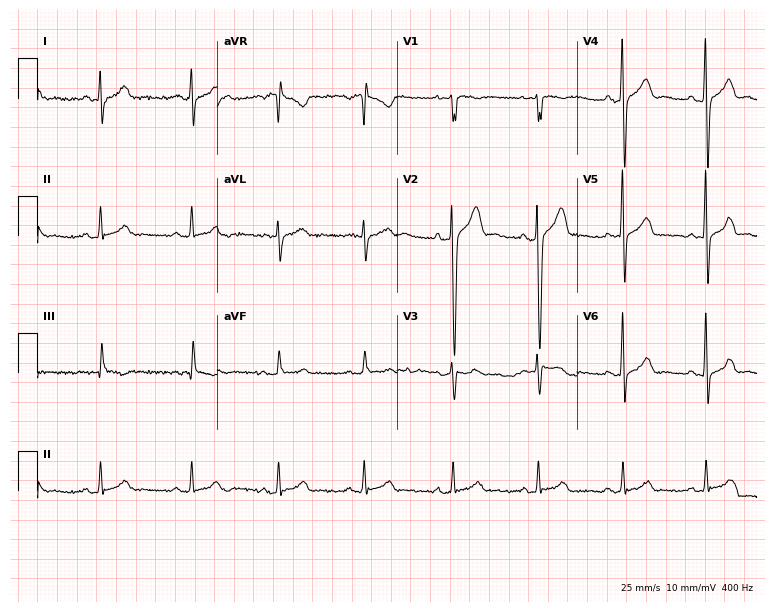
12-lead ECG from a 31-year-old male. Labelled as a normal ECG.